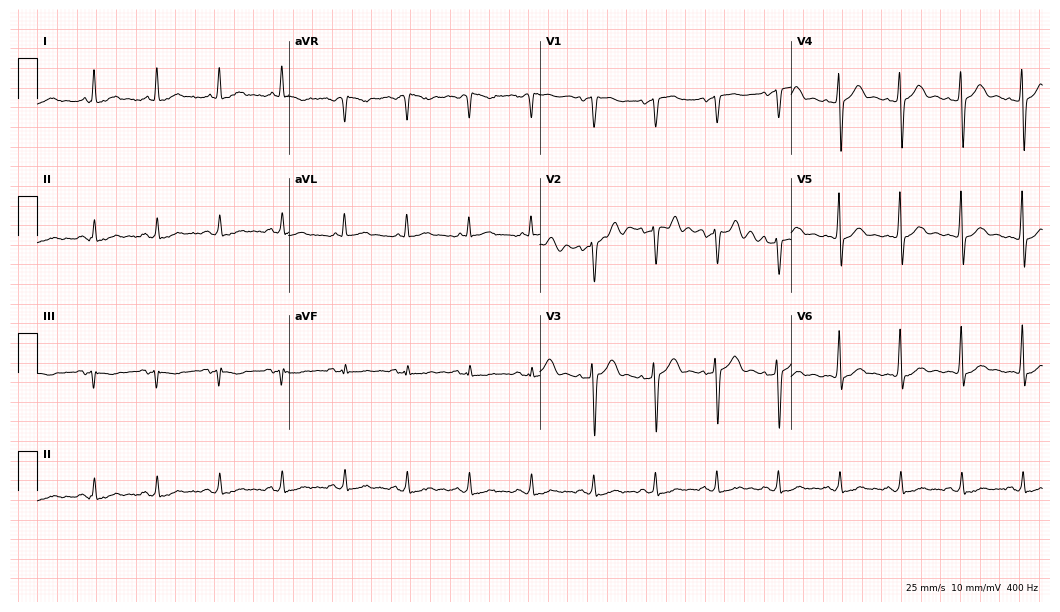
Resting 12-lead electrocardiogram (10.2-second recording at 400 Hz). Patient: a man, 63 years old. None of these six findings is recorded: first-degree AV block, right bundle branch block, left bundle branch block, sinus bradycardia, atrial fibrillation, sinus tachycardia.